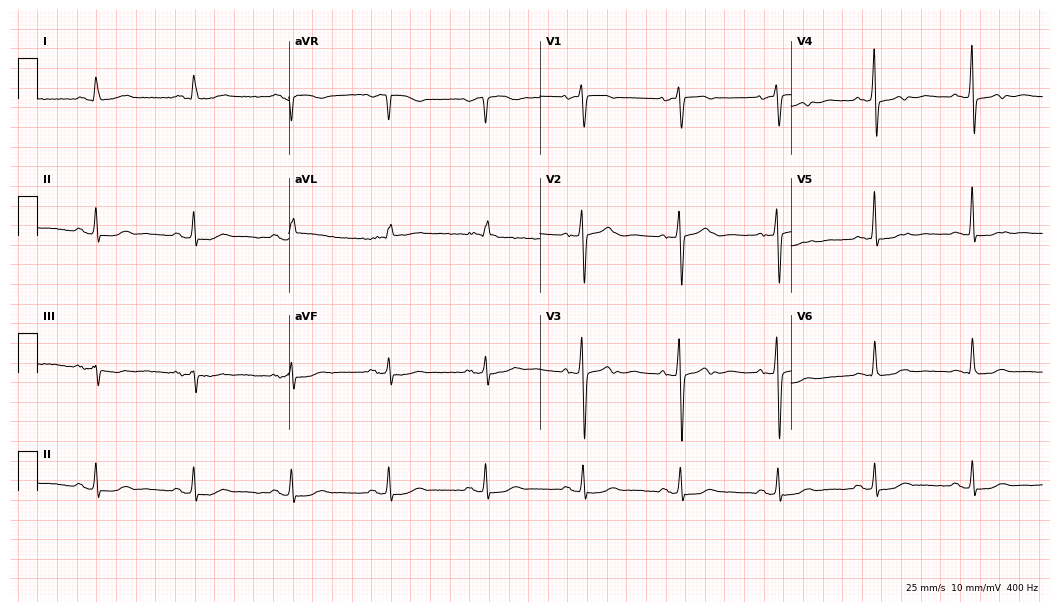
Standard 12-lead ECG recorded from a female patient, 84 years old (10.2-second recording at 400 Hz). None of these six findings is recorded: first-degree AV block, right bundle branch block, left bundle branch block, sinus bradycardia, atrial fibrillation, sinus tachycardia.